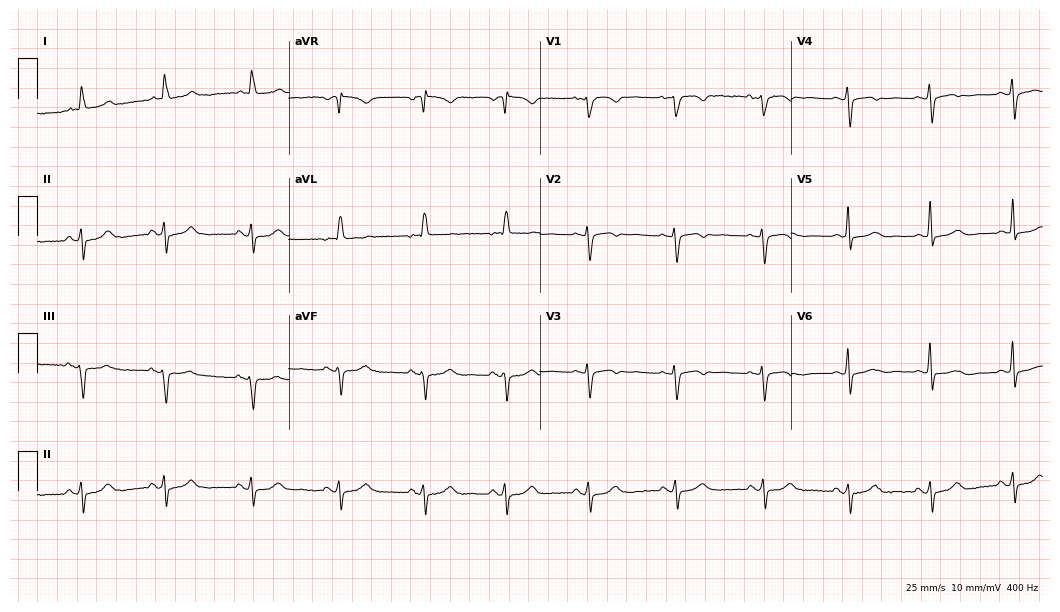
Resting 12-lead electrocardiogram. Patient: a woman, 71 years old. None of these six findings is recorded: first-degree AV block, right bundle branch block, left bundle branch block, sinus bradycardia, atrial fibrillation, sinus tachycardia.